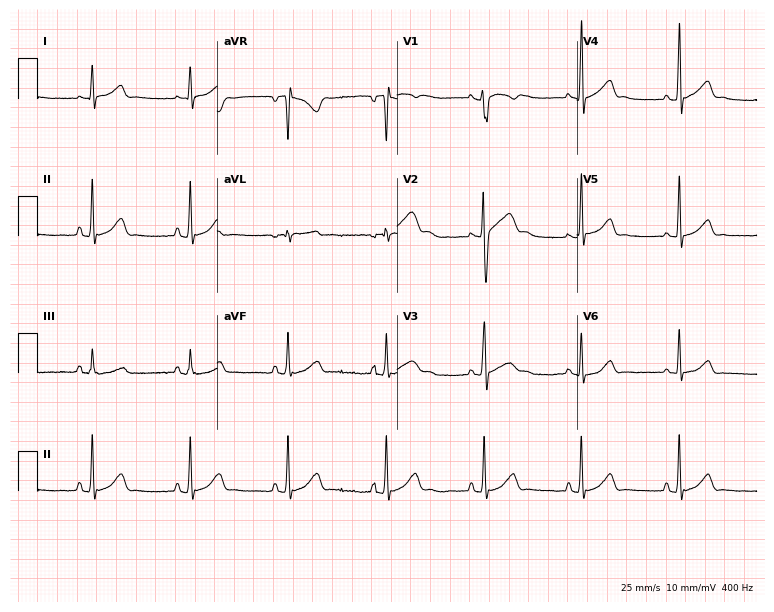
Standard 12-lead ECG recorded from a male, 17 years old (7.3-second recording at 400 Hz). Read as a normal ECG.